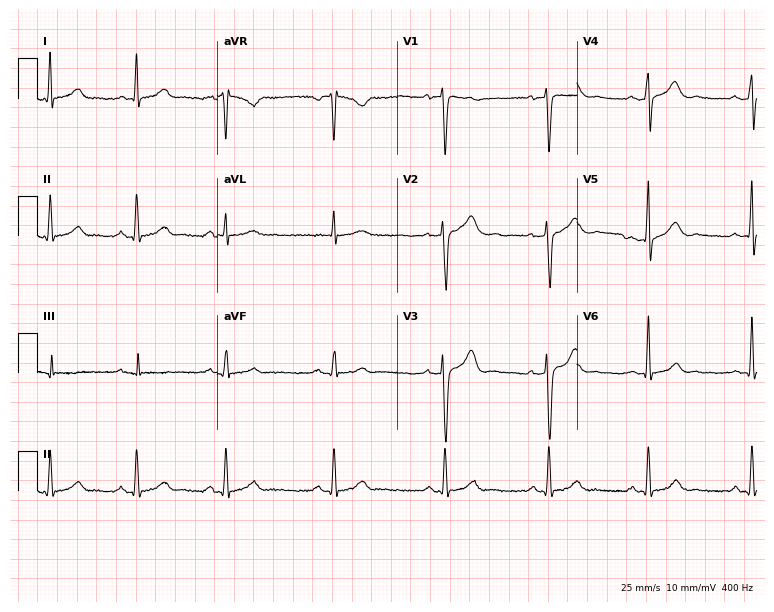
12-lead ECG from a 38-year-old man (7.3-second recording at 400 Hz). Recorded interpretation: within normal limits.